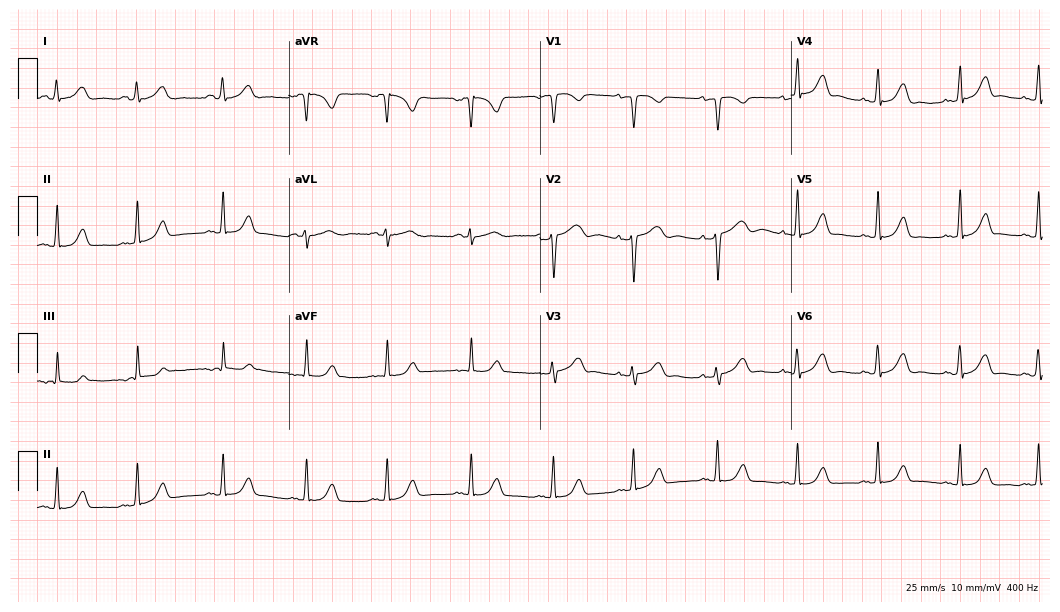
Standard 12-lead ECG recorded from a 36-year-old female. Read as a normal ECG.